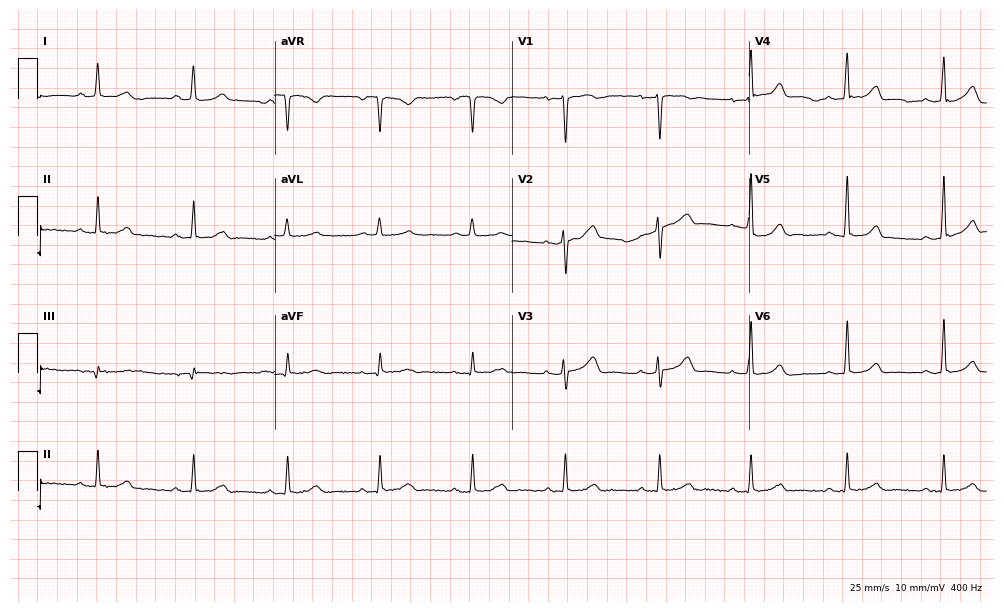
Standard 12-lead ECG recorded from a 45-year-old female. Read as a normal ECG.